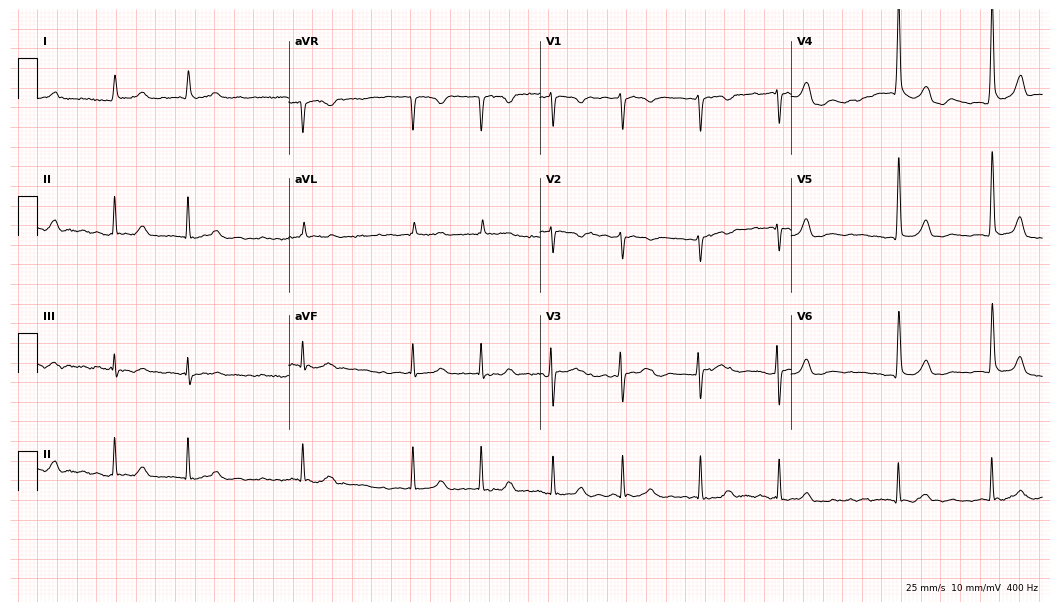
ECG — an 84-year-old female patient. Findings include atrial fibrillation (AF).